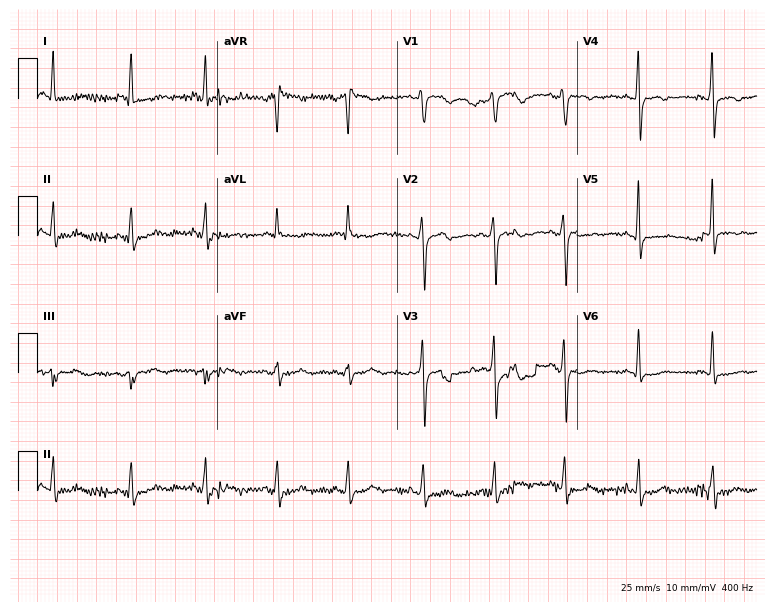
Resting 12-lead electrocardiogram. Patient: a woman, 50 years old. None of these six findings is recorded: first-degree AV block, right bundle branch block (RBBB), left bundle branch block (LBBB), sinus bradycardia, atrial fibrillation (AF), sinus tachycardia. Other findings, if any, are not listed.